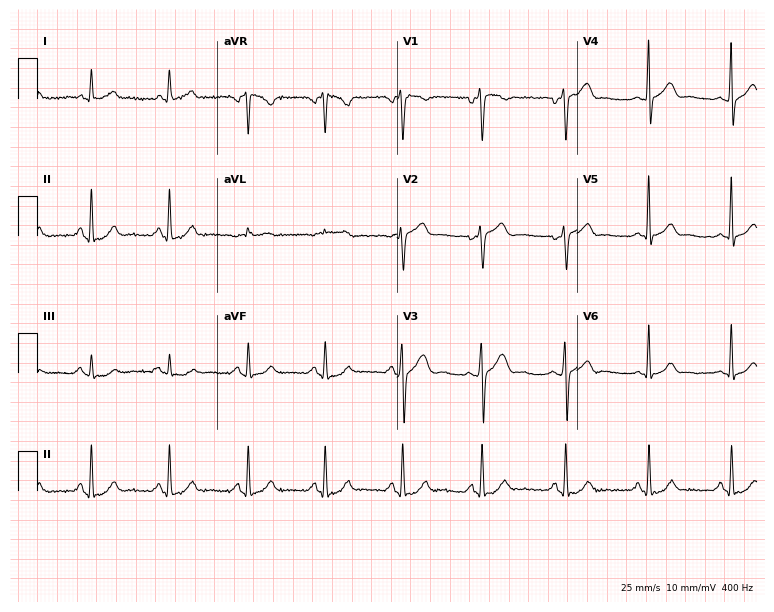
Resting 12-lead electrocardiogram (7.3-second recording at 400 Hz). Patient: a 55-year-old man. None of these six findings is recorded: first-degree AV block, right bundle branch block (RBBB), left bundle branch block (LBBB), sinus bradycardia, atrial fibrillation (AF), sinus tachycardia. Findings outside these six are not listed.